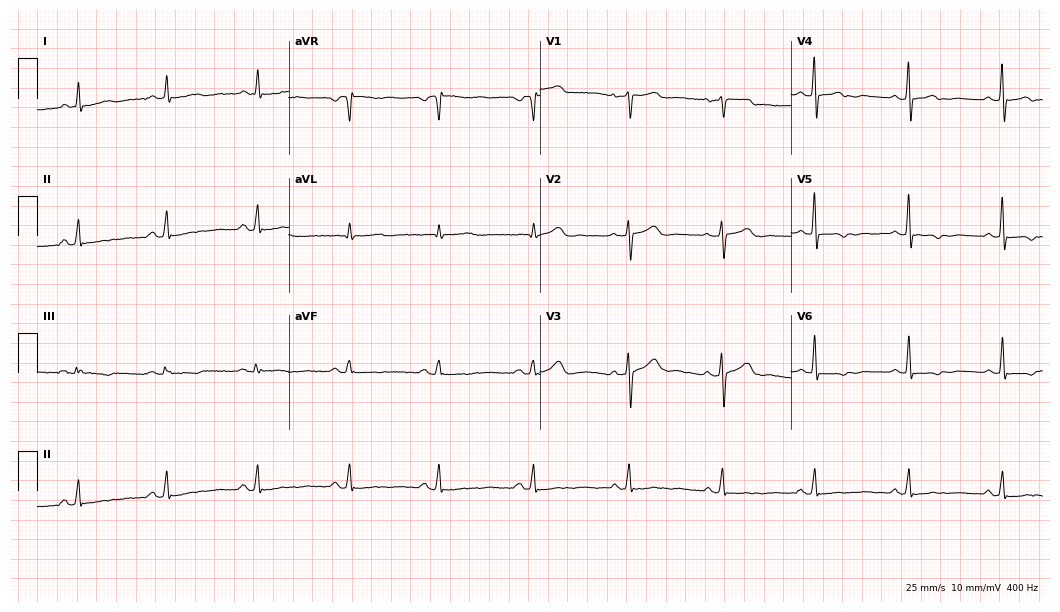
12-lead ECG from a female, 57 years old (10.2-second recording at 400 Hz). No first-degree AV block, right bundle branch block, left bundle branch block, sinus bradycardia, atrial fibrillation or sinus tachycardia recorded for this tracing. Findings outside these six are not listed.